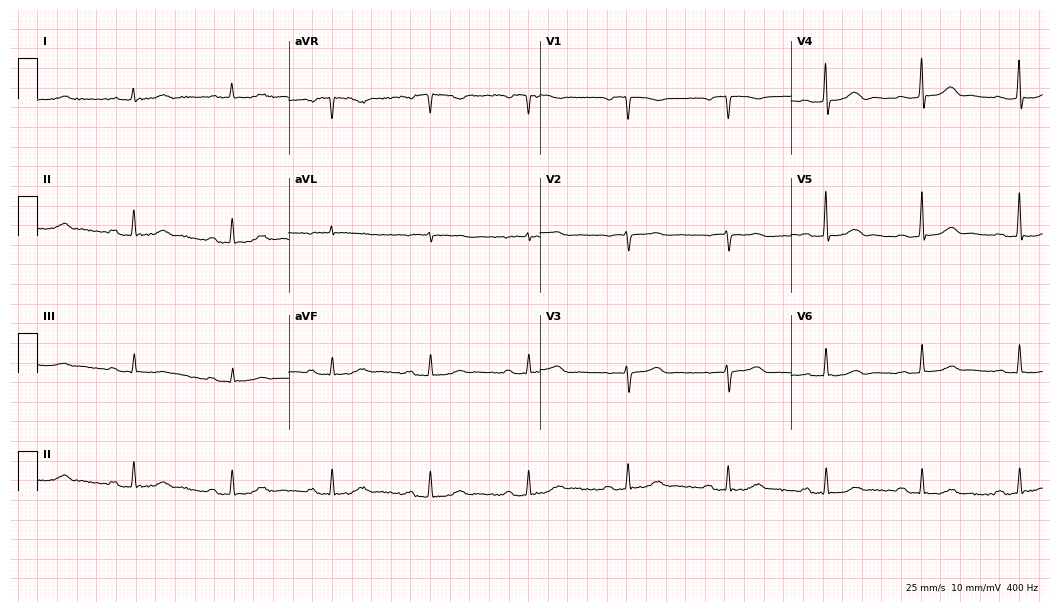
ECG (10.2-second recording at 400 Hz) — a woman, 67 years old. Findings include first-degree AV block.